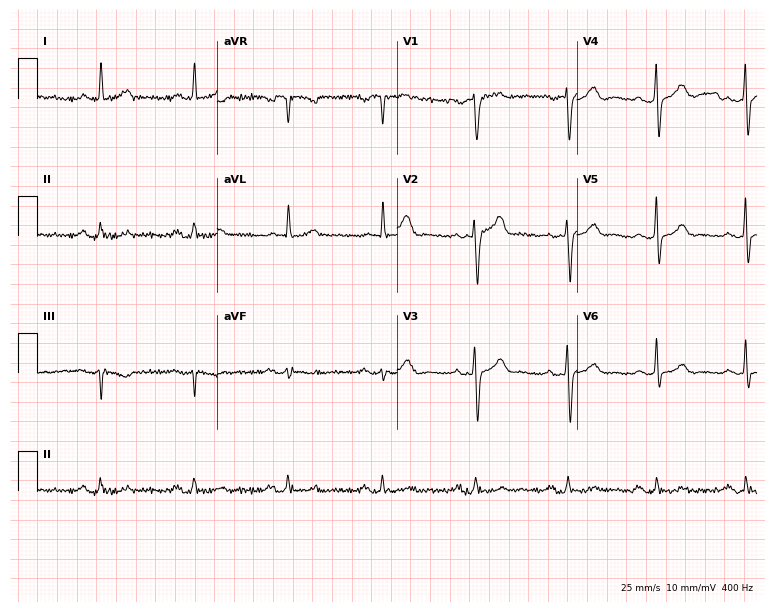
Standard 12-lead ECG recorded from a male, 66 years old (7.3-second recording at 400 Hz). None of these six findings is recorded: first-degree AV block, right bundle branch block, left bundle branch block, sinus bradycardia, atrial fibrillation, sinus tachycardia.